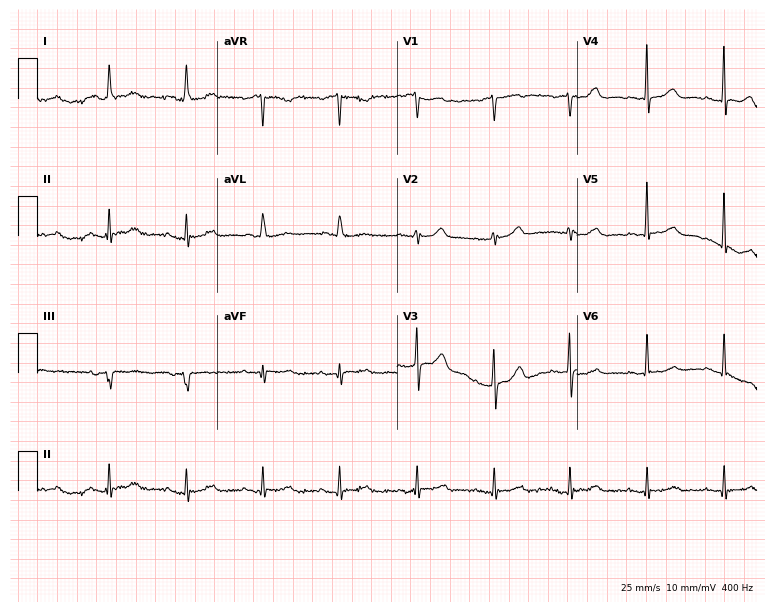
ECG (7.3-second recording at 400 Hz) — a 74-year-old female patient. Labelled as a normal ECG.